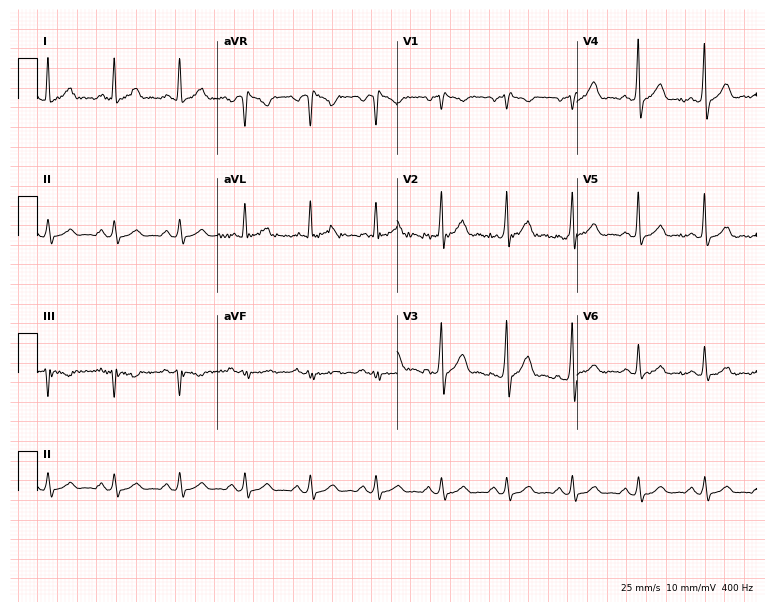
Standard 12-lead ECG recorded from a 57-year-old male patient (7.3-second recording at 400 Hz). None of these six findings is recorded: first-degree AV block, right bundle branch block, left bundle branch block, sinus bradycardia, atrial fibrillation, sinus tachycardia.